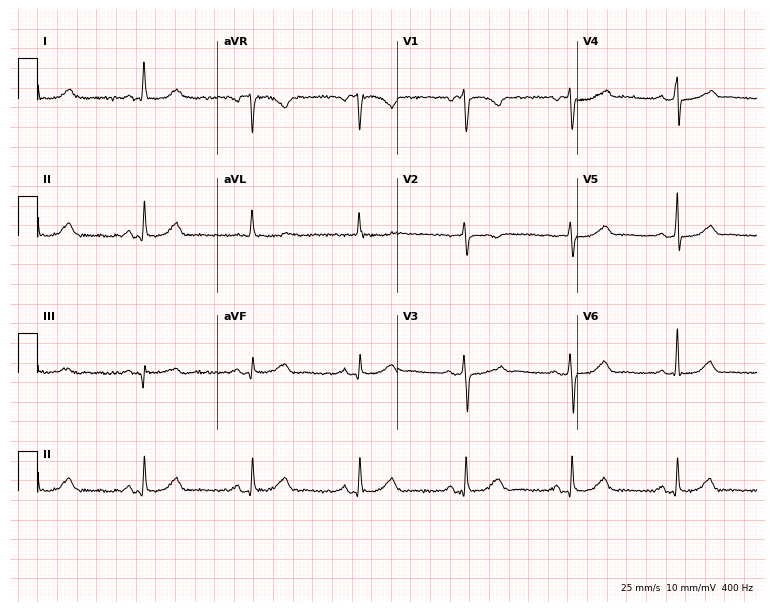
Electrocardiogram, a female, 53 years old. Overall reading on record: normal ECG.